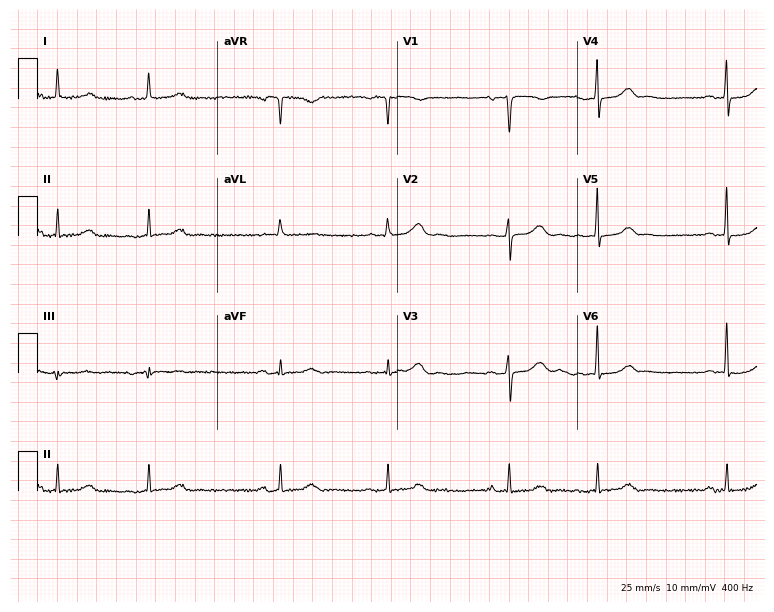
Resting 12-lead electrocardiogram (7.3-second recording at 400 Hz). Patient: a male, 85 years old. Read as a normal ECG.